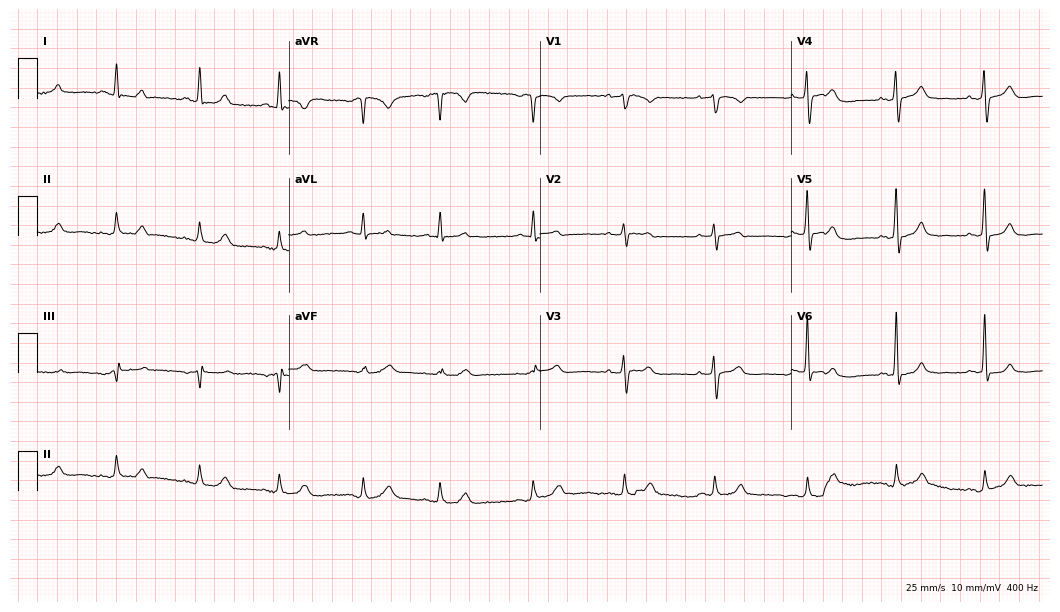
ECG — a woman, 84 years old. Labelled as a normal ECG.